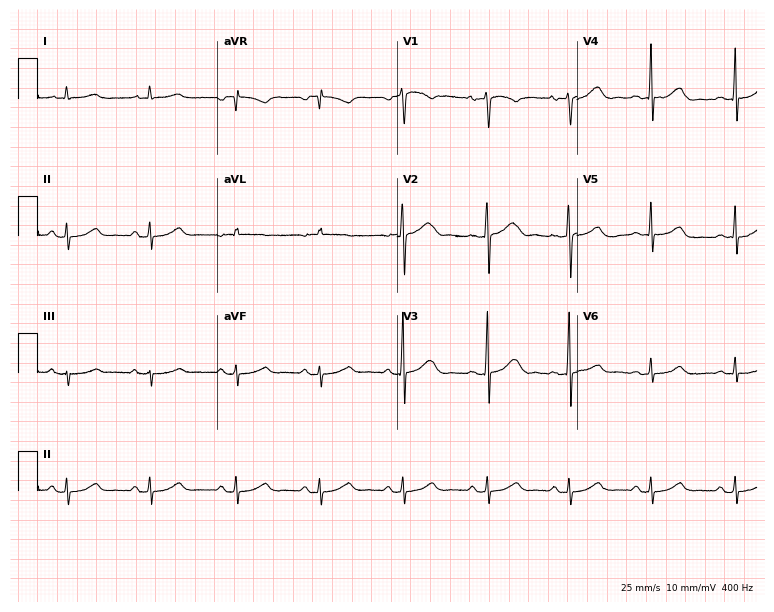
ECG (7.3-second recording at 400 Hz) — a 59-year-old male patient. Labelled as a normal ECG.